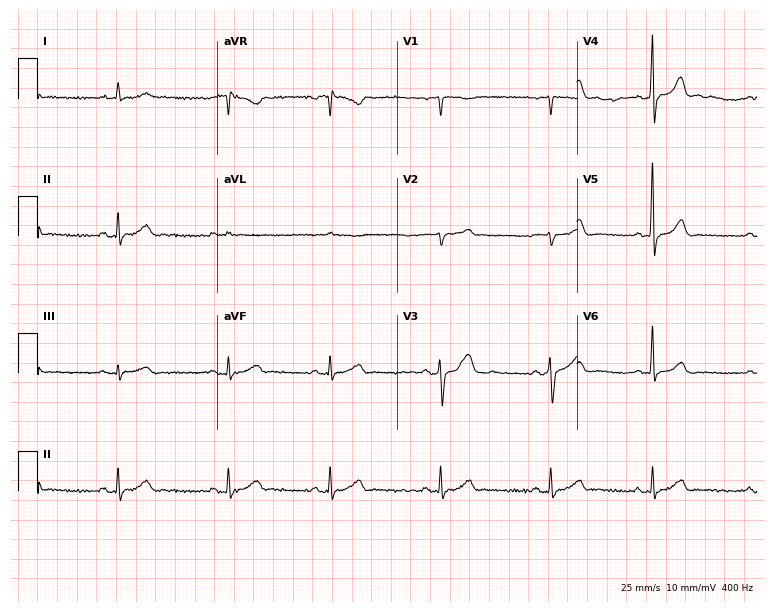
12-lead ECG from a 63-year-old male patient (7.3-second recording at 400 Hz). Recorded interpretation: within normal limits.